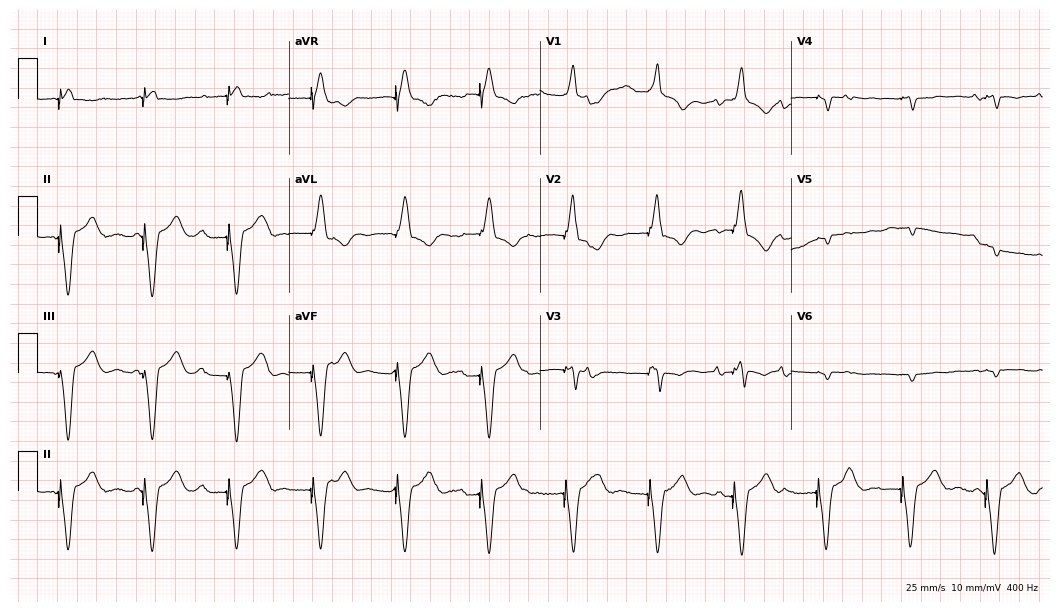
Electrocardiogram, a man, 85 years old. Of the six screened findings (first-degree AV block, right bundle branch block (RBBB), left bundle branch block (LBBB), sinus bradycardia, atrial fibrillation (AF), sinus tachycardia), none is recorded. Other findings, if any, are not listed.